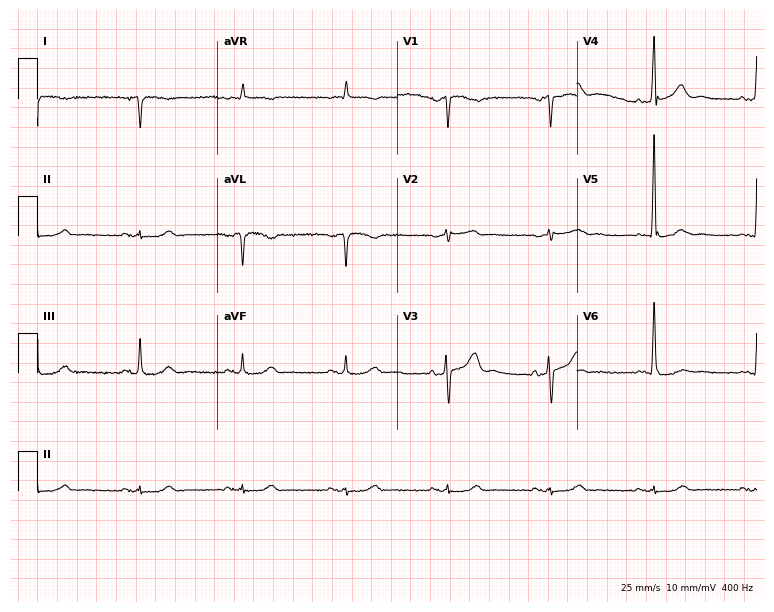
Resting 12-lead electrocardiogram. Patient: a male, 82 years old. None of these six findings is recorded: first-degree AV block, right bundle branch block (RBBB), left bundle branch block (LBBB), sinus bradycardia, atrial fibrillation (AF), sinus tachycardia. Other findings, if any, are not listed.